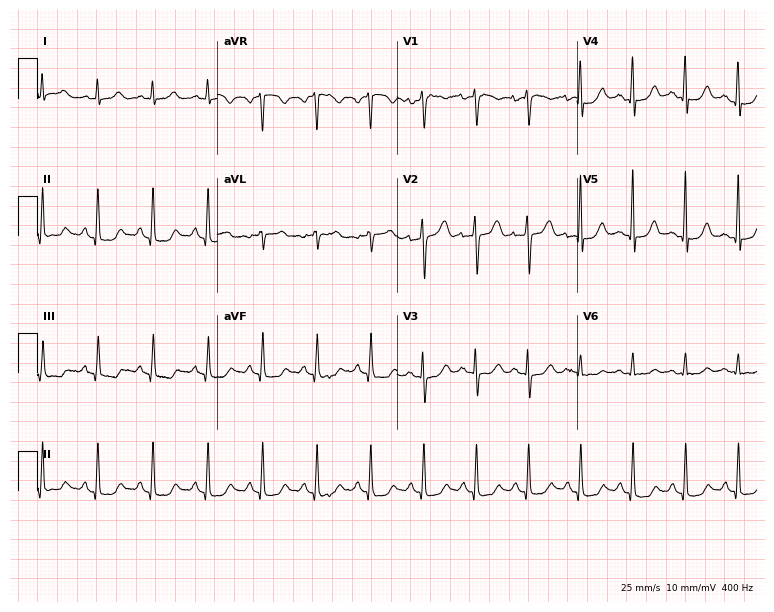
12-lead ECG (7.3-second recording at 400 Hz) from a 48-year-old female. Findings include sinus tachycardia (a sinus rate of 100 beats per minute or more).